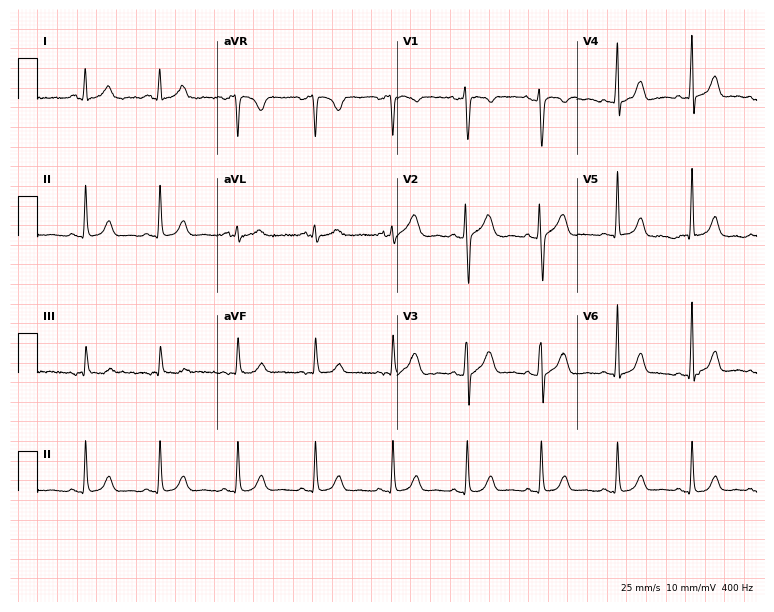
Electrocardiogram (7.3-second recording at 400 Hz), a female patient, 45 years old. Overall reading on record: normal ECG.